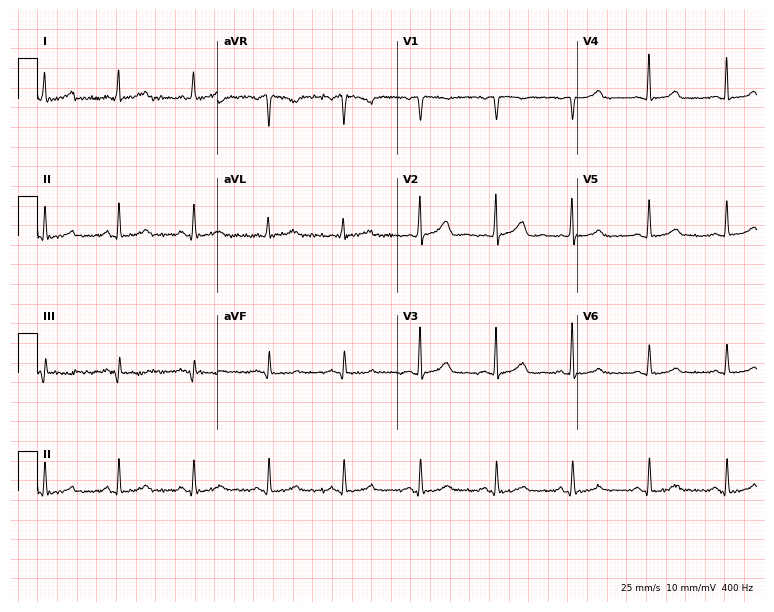
ECG — a female, 63 years old. Labelled as a normal ECG.